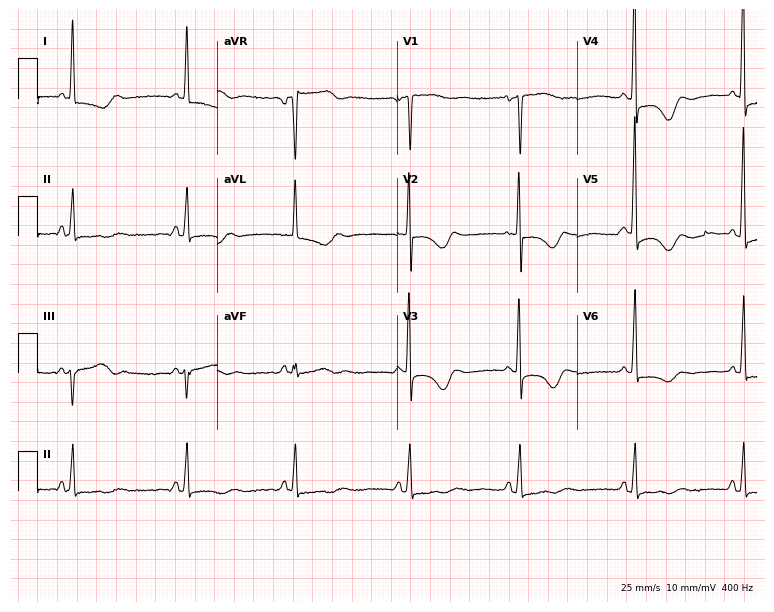
Resting 12-lead electrocardiogram. Patient: a female, 67 years old. None of these six findings is recorded: first-degree AV block, right bundle branch block, left bundle branch block, sinus bradycardia, atrial fibrillation, sinus tachycardia. Findings outside these six are not listed.